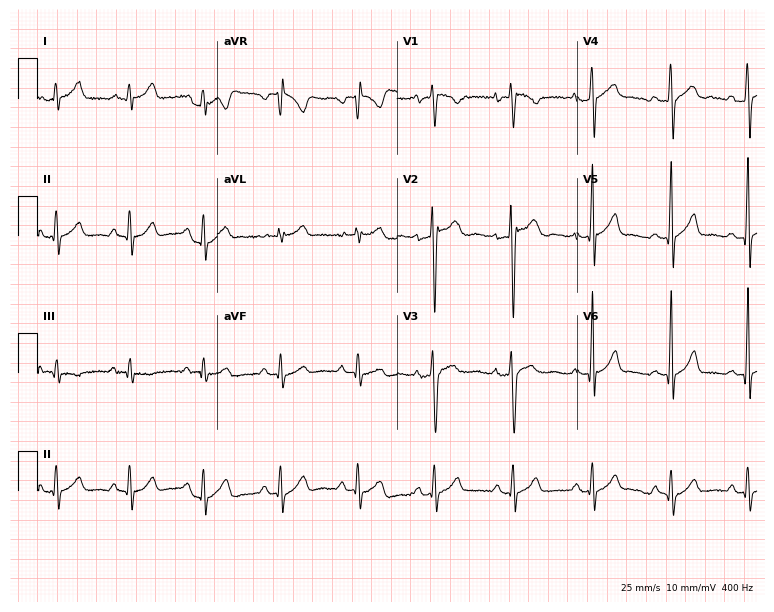
ECG (7.3-second recording at 400 Hz) — an 18-year-old male patient. Labelled as a normal ECG.